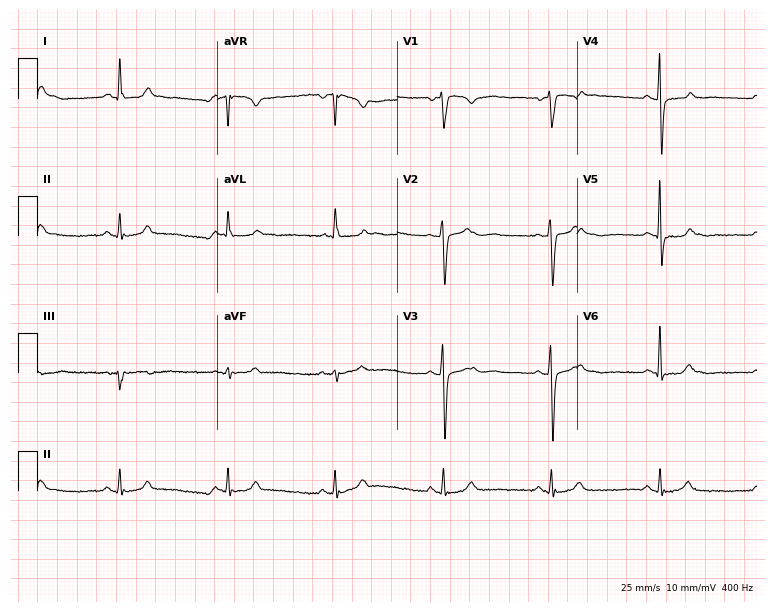
12-lead ECG from a 58-year-old man (7.3-second recording at 400 Hz). No first-degree AV block, right bundle branch block, left bundle branch block, sinus bradycardia, atrial fibrillation or sinus tachycardia recorded for this tracing.